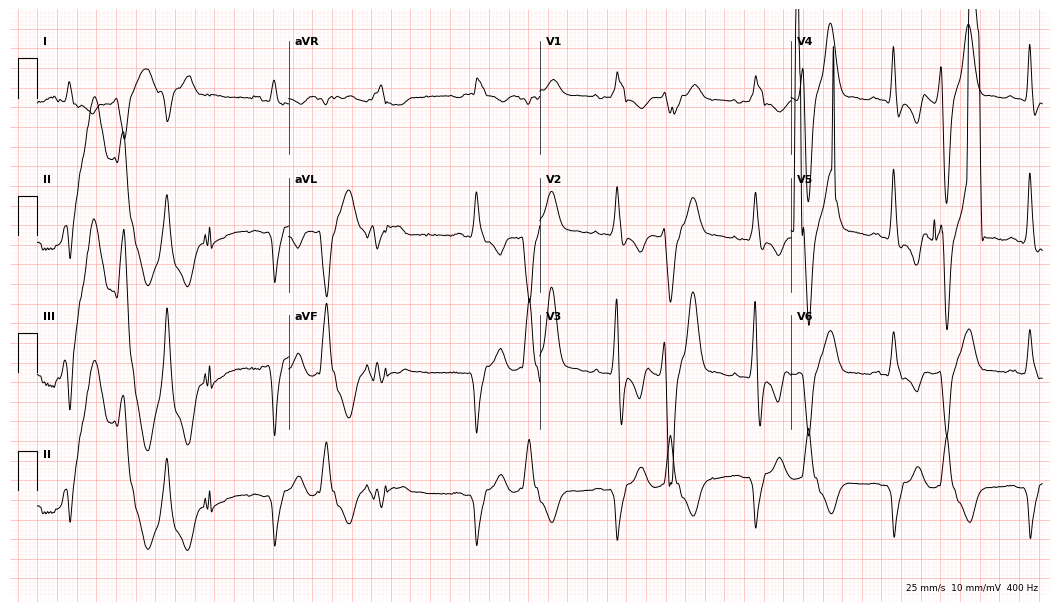
12-lead ECG from a 53-year-old man. No first-degree AV block, right bundle branch block (RBBB), left bundle branch block (LBBB), sinus bradycardia, atrial fibrillation (AF) or sinus tachycardia recorded for this tracing. Only these six findings were labelled.